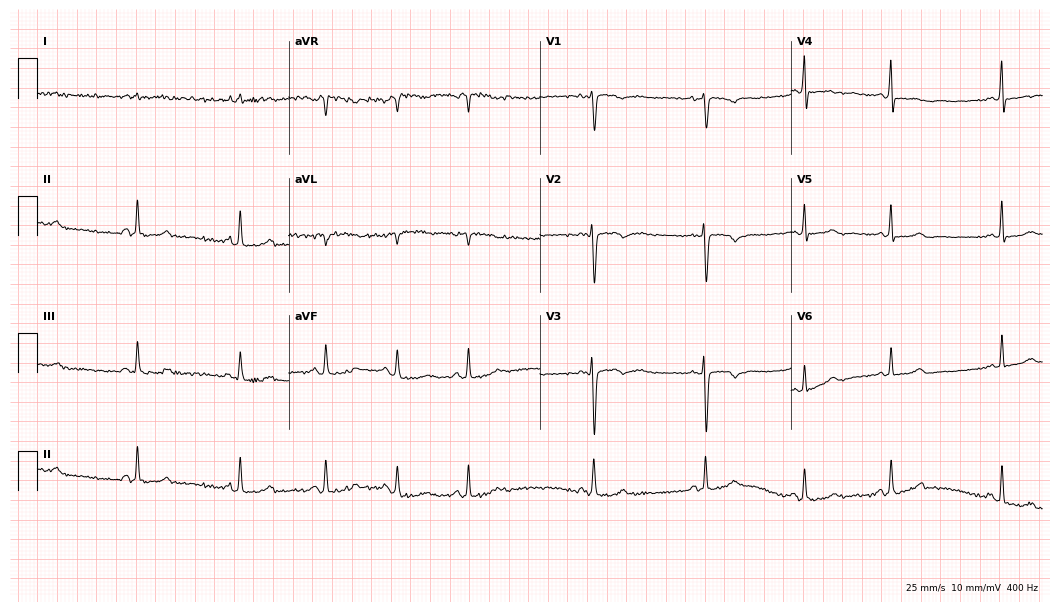
12-lead ECG from a 22-year-old female. No first-degree AV block, right bundle branch block, left bundle branch block, sinus bradycardia, atrial fibrillation or sinus tachycardia recorded for this tracing. Only these six findings were labelled.